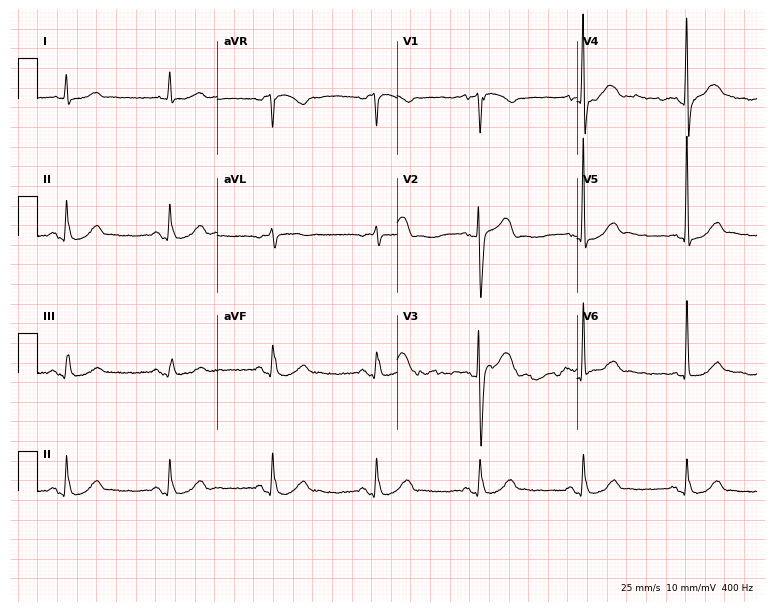
ECG (7.3-second recording at 400 Hz) — a 77-year-old man. Labelled as a normal ECG.